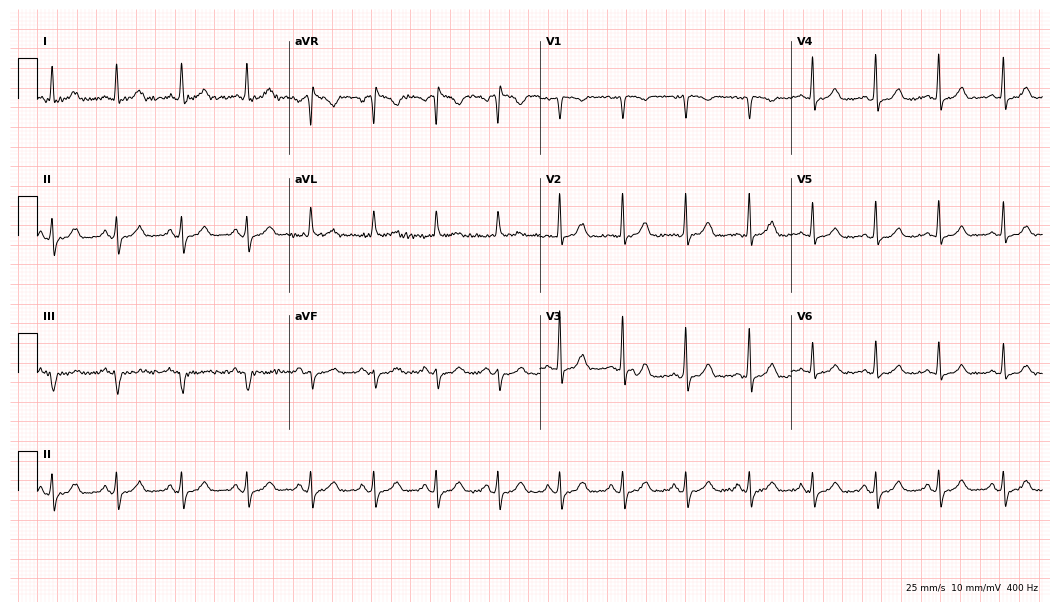
Standard 12-lead ECG recorded from a 52-year-old woman. None of these six findings is recorded: first-degree AV block, right bundle branch block (RBBB), left bundle branch block (LBBB), sinus bradycardia, atrial fibrillation (AF), sinus tachycardia. Only these six findings were labelled.